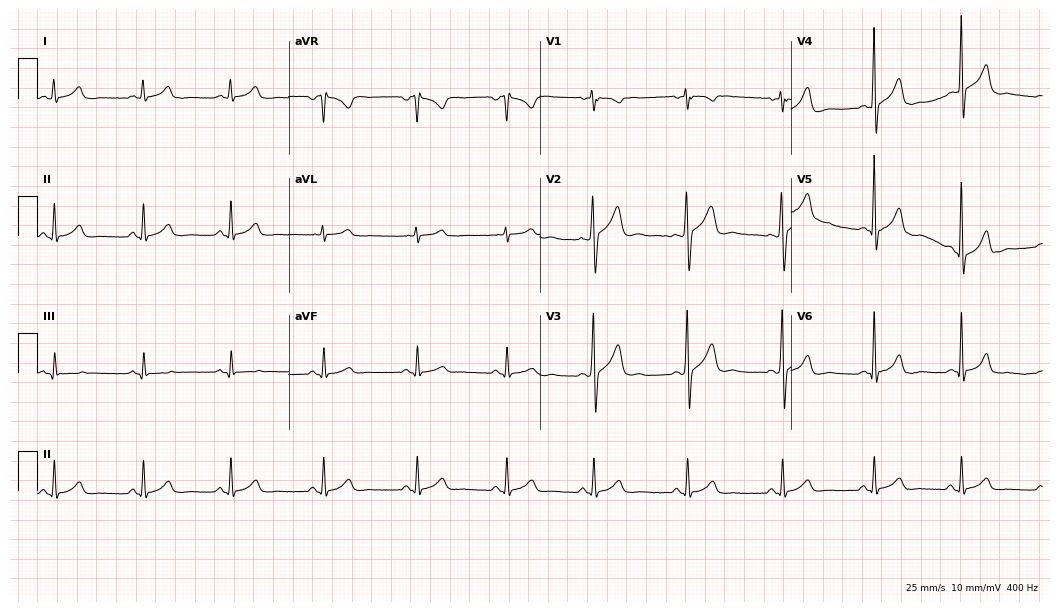
Standard 12-lead ECG recorded from a male, 26 years old. Read as a normal ECG.